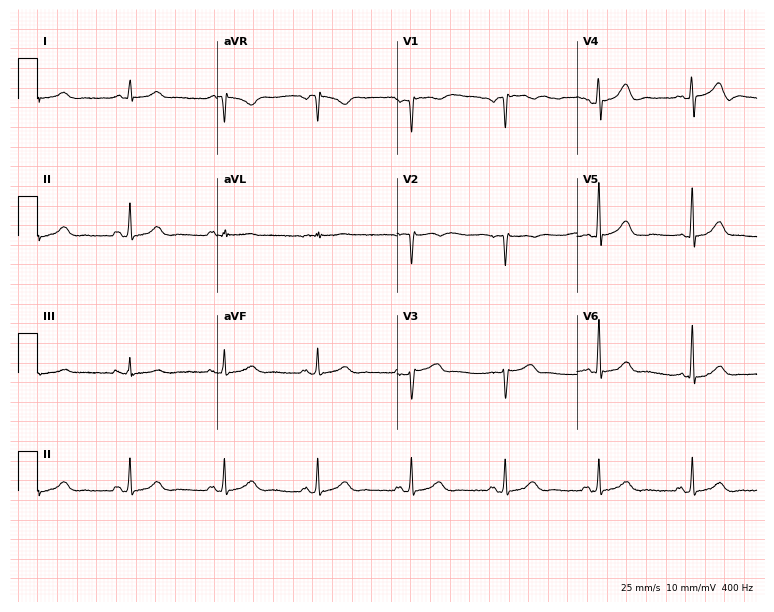
Electrocardiogram, a 65-year-old male. Overall reading on record: normal ECG.